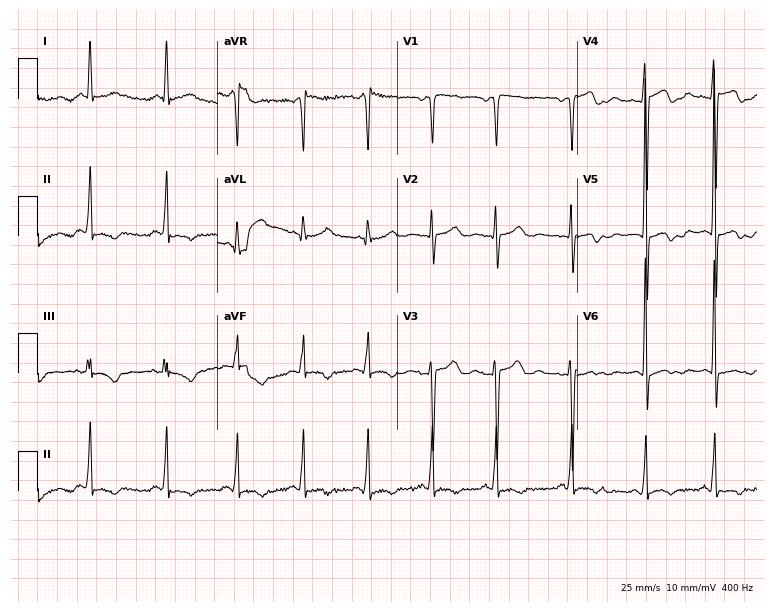
Standard 12-lead ECG recorded from a 31-year-old female. None of these six findings is recorded: first-degree AV block, right bundle branch block (RBBB), left bundle branch block (LBBB), sinus bradycardia, atrial fibrillation (AF), sinus tachycardia.